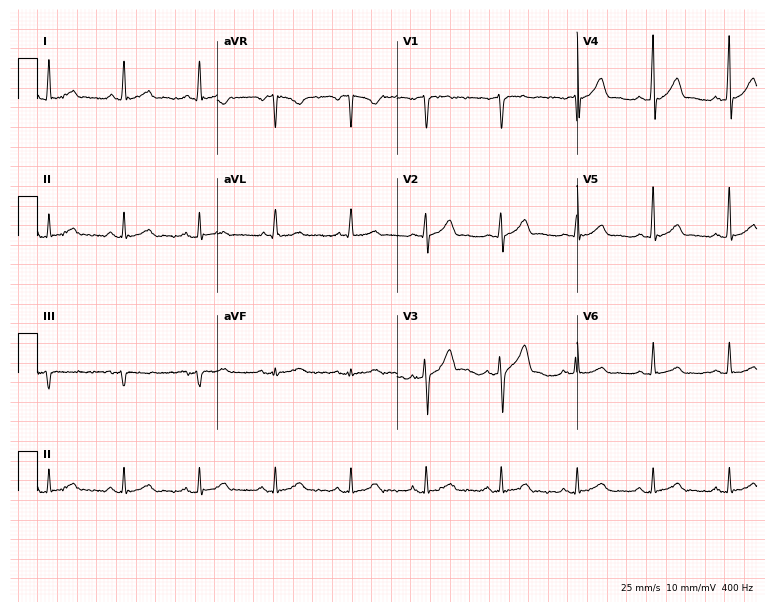
12-lead ECG from a male, 57 years old. Labelled as a normal ECG.